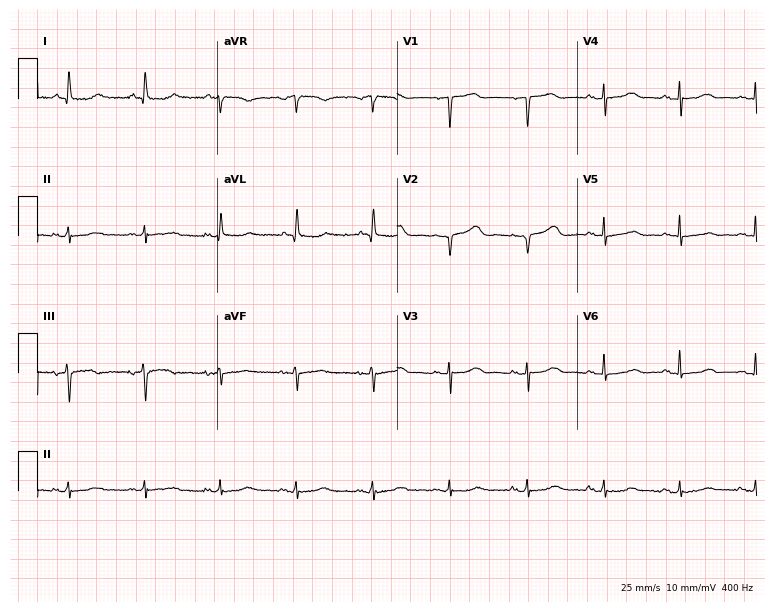
12-lead ECG from a female patient, 83 years old. Screened for six findings — first-degree AV block, right bundle branch block (RBBB), left bundle branch block (LBBB), sinus bradycardia, atrial fibrillation (AF), sinus tachycardia — none is recorded. Only these six findings were labelled.